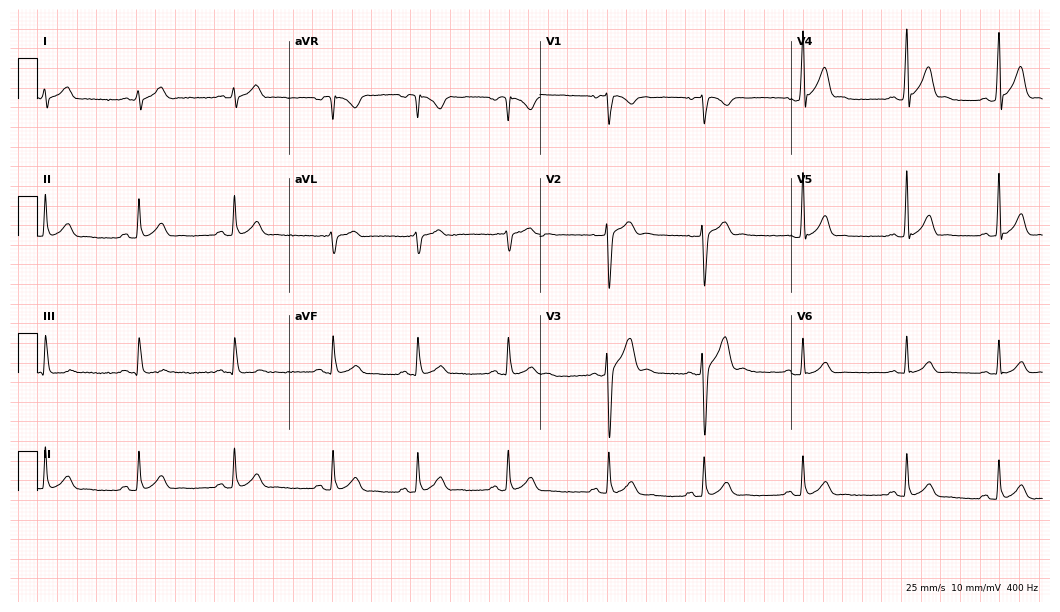
ECG — a male, 18 years old. Labelled as a normal ECG.